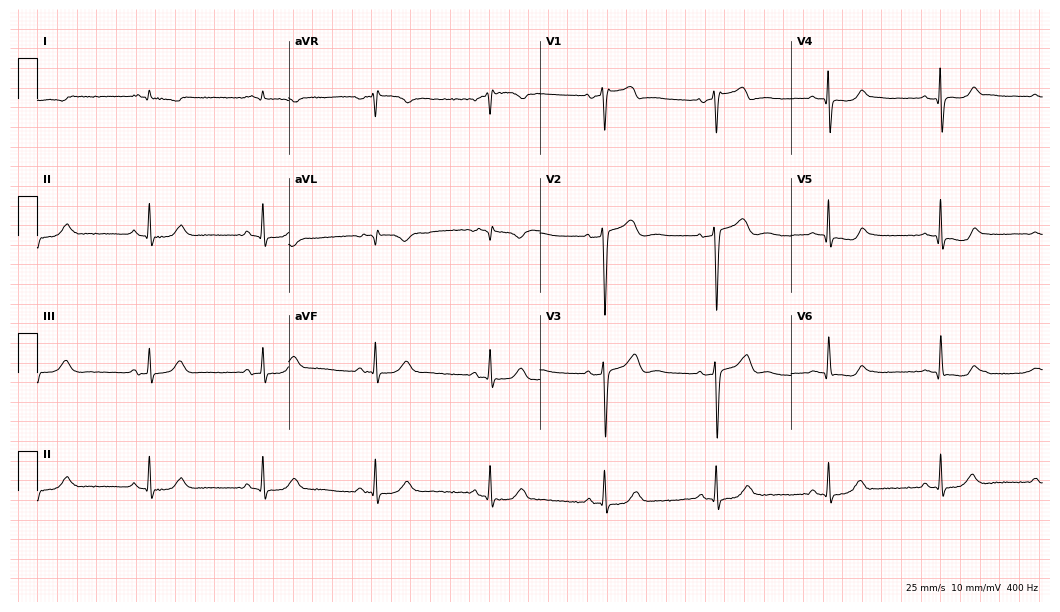
ECG (10.2-second recording at 400 Hz) — a 62-year-old man. Screened for six findings — first-degree AV block, right bundle branch block (RBBB), left bundle branch block (LBBB), sinus bradycardia, atrial fibrillation (AF), sinus tachycardia — none is recorded. Other findings, if any, are not listed.